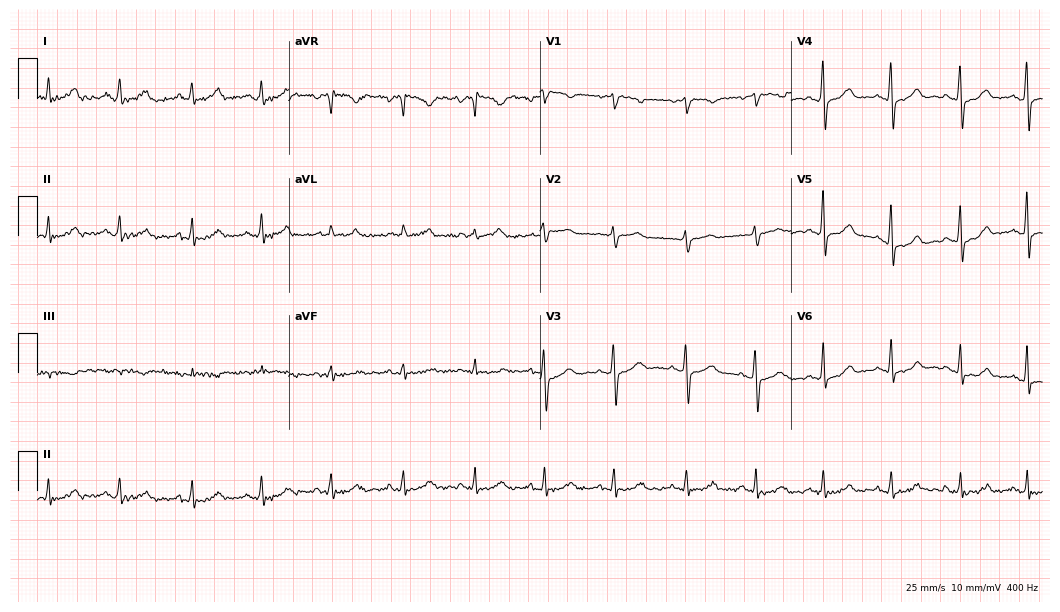
12-lead ECG from a female patient, 45 years old. Labelled as a normal ECG.